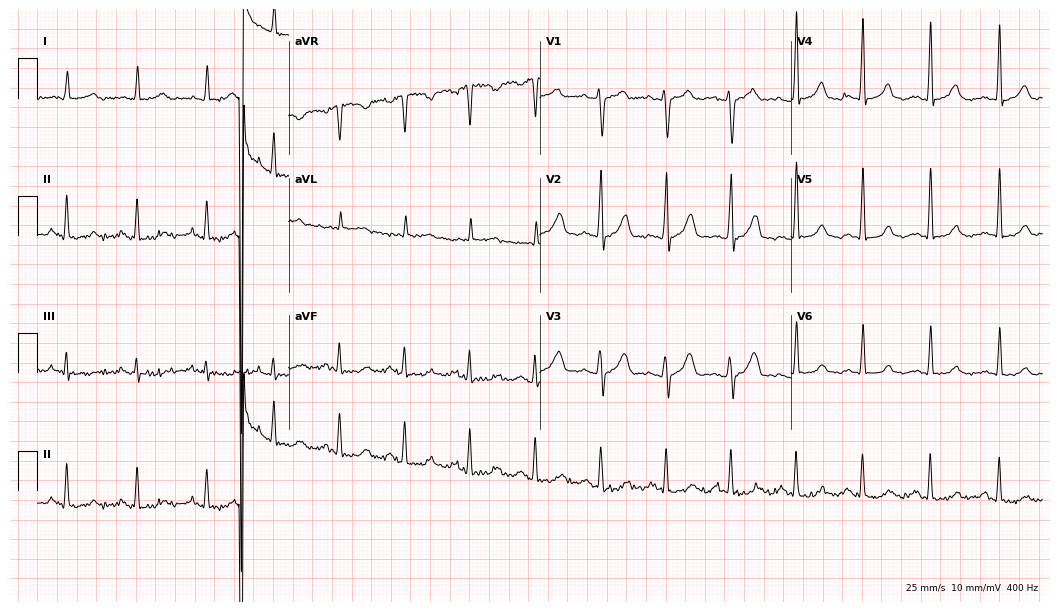
Resting 12-lead electrocardiogram. Patient: a 76-year-old man. Read as a normal ECG.